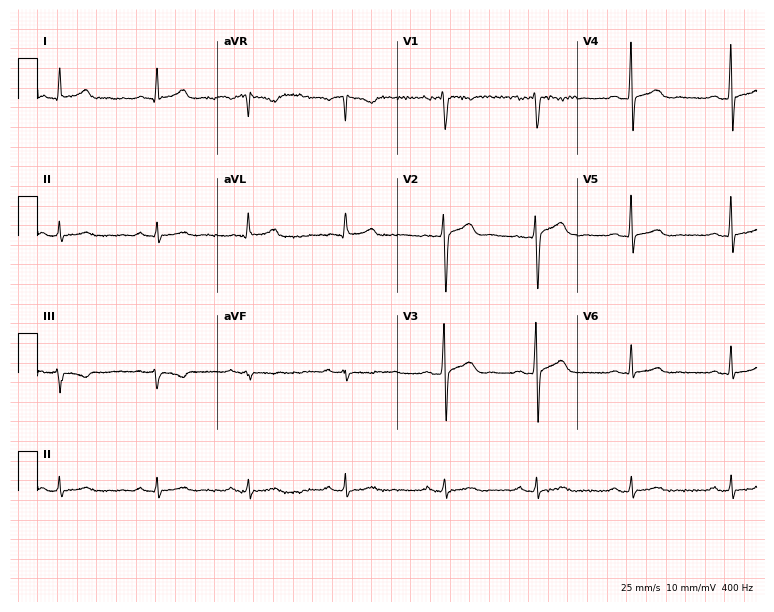
12-lead ECG (7.3-second recording at 400 Hz) from a male, 40 years old. Screened for six findings — first-degree AV block, right bundle branch block (RBBB), left bundle branch block (LBBB), sinus bradycardia, atrial fibrillation (AF), sinus tachycardia — none is recorded.